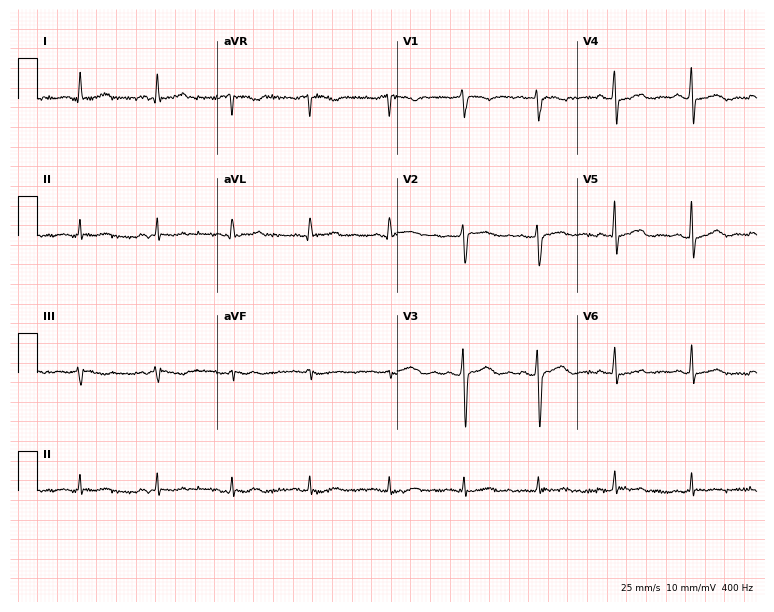
Electrocardiogram, a woman, 49 years old. Overall reading on record: normal ECG.